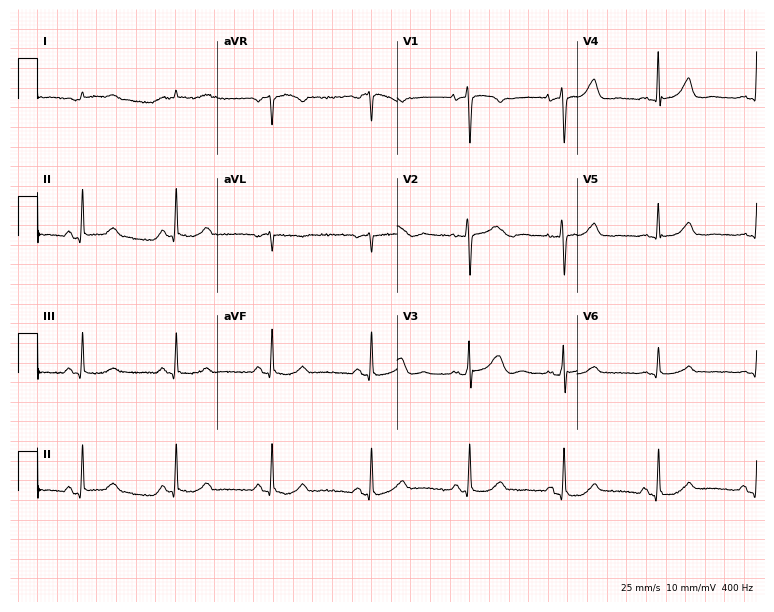
Standard 12-lead ECG recorded from a female patient, 74 years old. None of these six findings is recorded: first-degree AV block, right bundle branch block, left bundle branch block, sinus bradycardia, atrial fibrillation, sinus tachycardia.